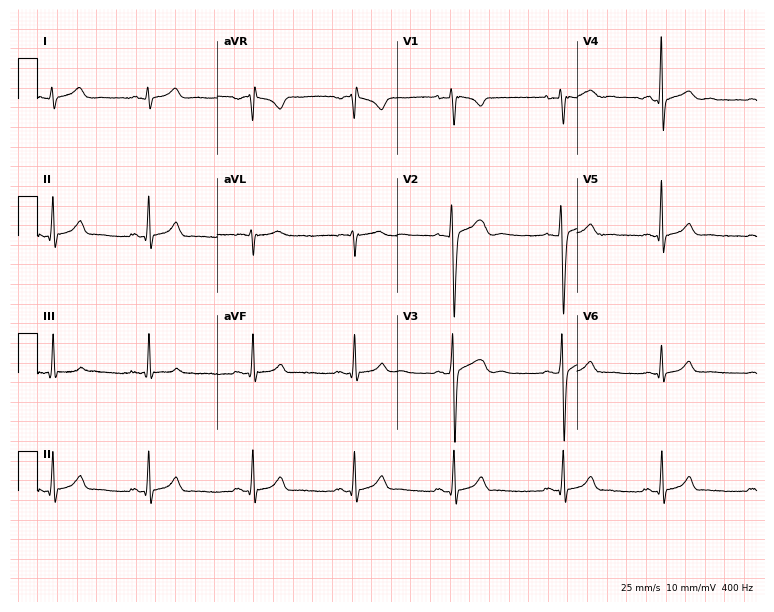
12-lead ECG from a male, 20 years old. Screened for six findings — first-degree AV block, right bundle branch block (RBBB), left bundle branch block (LBBB), sinus bradycardia, atrial fibrillation (AF), sinus tachycardia — none is recorded.